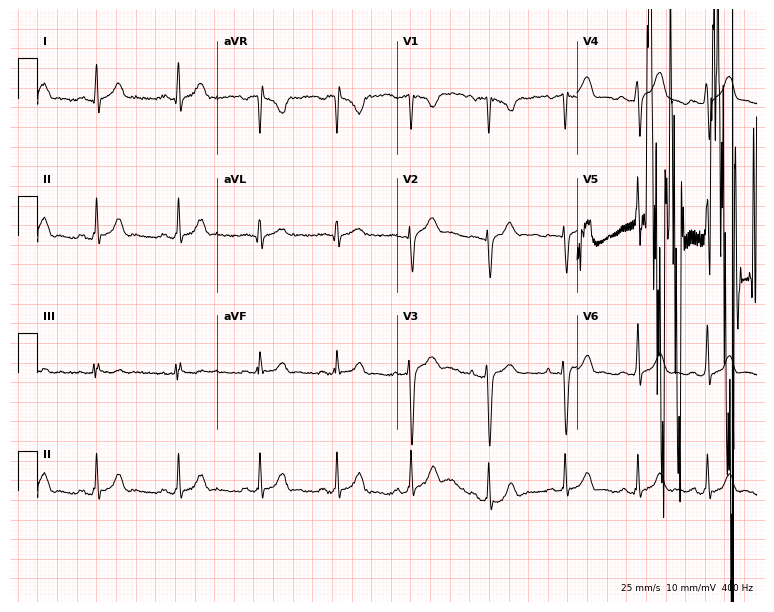
ECG (7.3-second recording at 400 Hz) — a male patient, 26 years old. Screened for six findings — first-degree AV block, right bundle branch block, left bundle branch block, sinus bradycardia, atrial fibrillation, sinus tachycardia — none is recorded. Other findings, if any, are not listed.